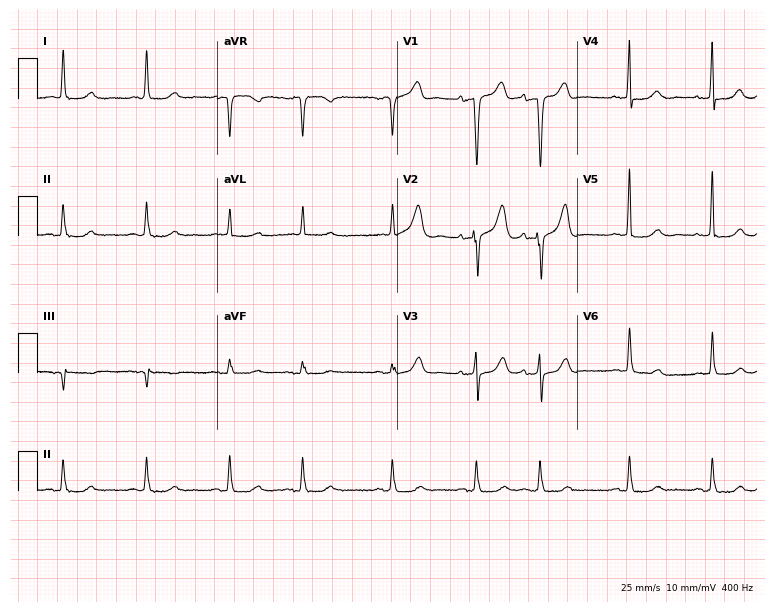
12-lead ECG (7.3-second recording at 400 Hz) from a female, 85 years old. Screened for six findings — first-degree AV block, right bundle branch block, left bundle branch block, sinus bradycardia, atrial fibrillation, sinus tachycardia — none is recorded.